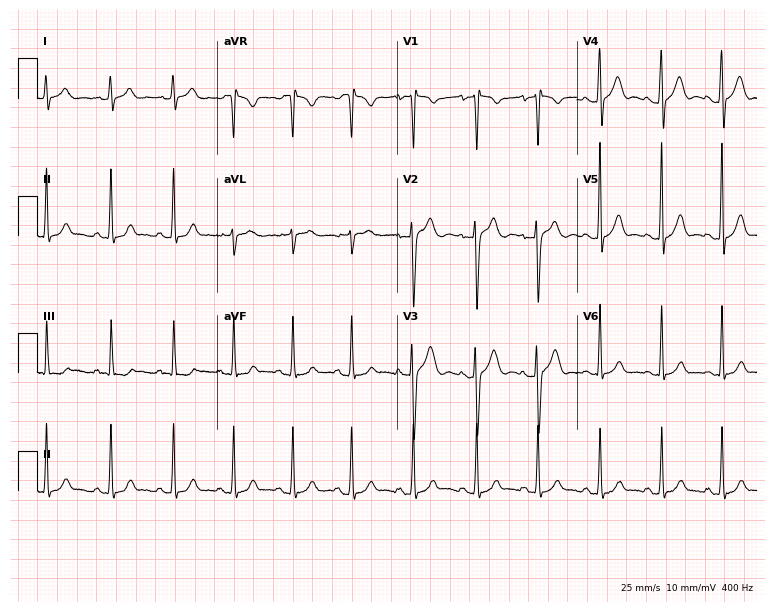
ECG — a 19-year-old male patient. Labelled as a normal ECG.